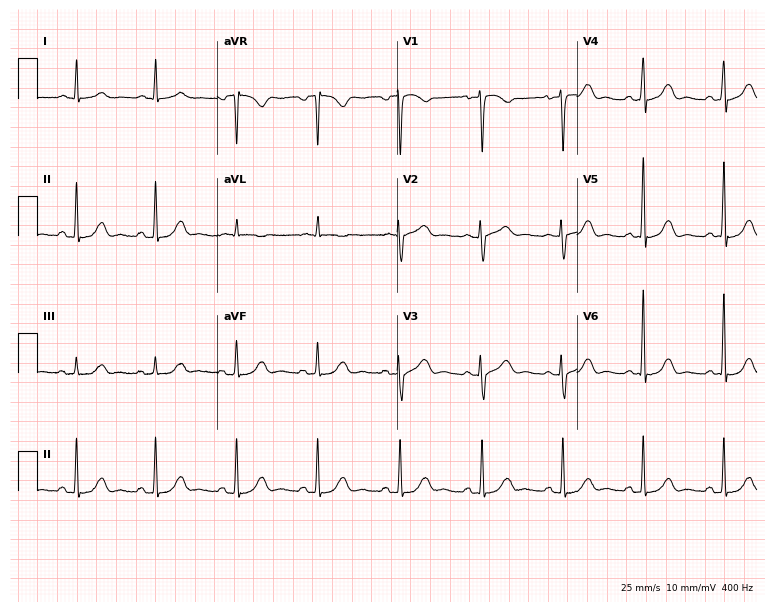
12-lead ECG (7.3-second recording at 400 Hz) from a 61-year-old female patient. Labelled as a normal ECG.